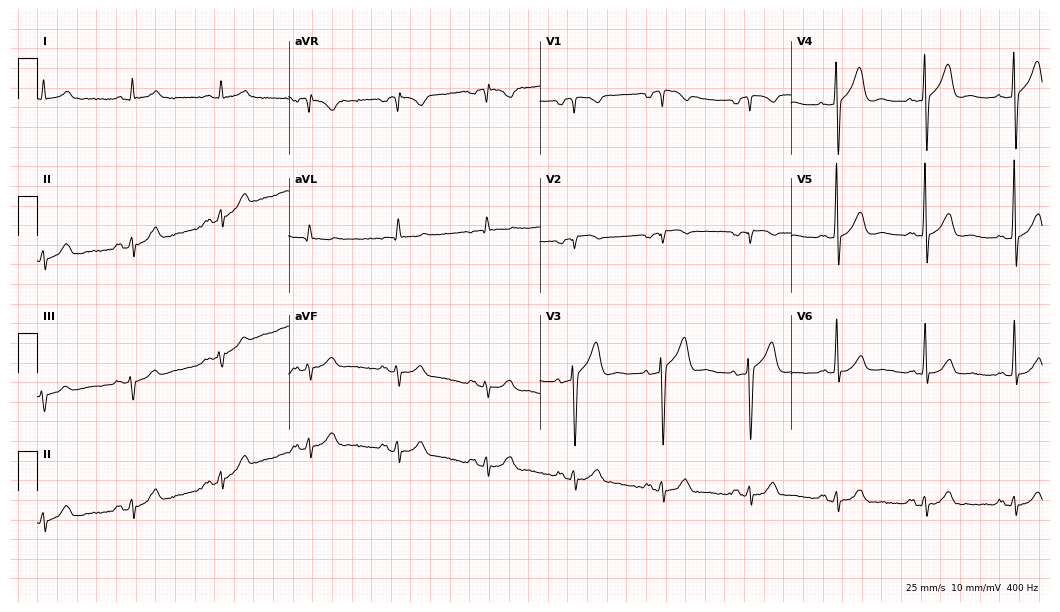
ECG — a man, 76 years old. Screened for six findings — first-degree AV block, right bundle branch block, left bundle branch block, sinus bradycardia, atrial fibrillation, sinus tachycardia — none is recorded. Findings outside these six are not listed.